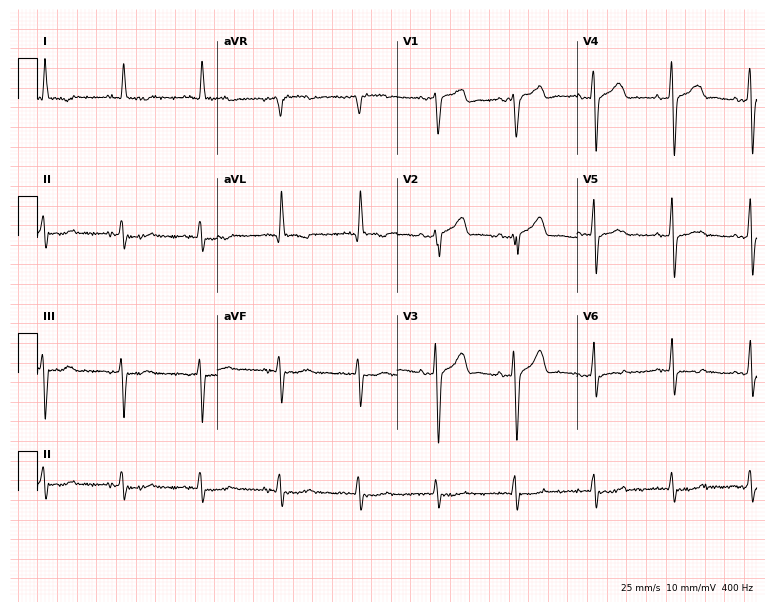
Resting 12-lead electrocardiogram (7.3-second recording at 400 Hz). Patient: a 71-year-old man. None of these six findings is recorded: first-degree AV block, right bundle branch block, left bundle branch block, sinus bradycardia, atrial fibrillation, sinus tachycardia.